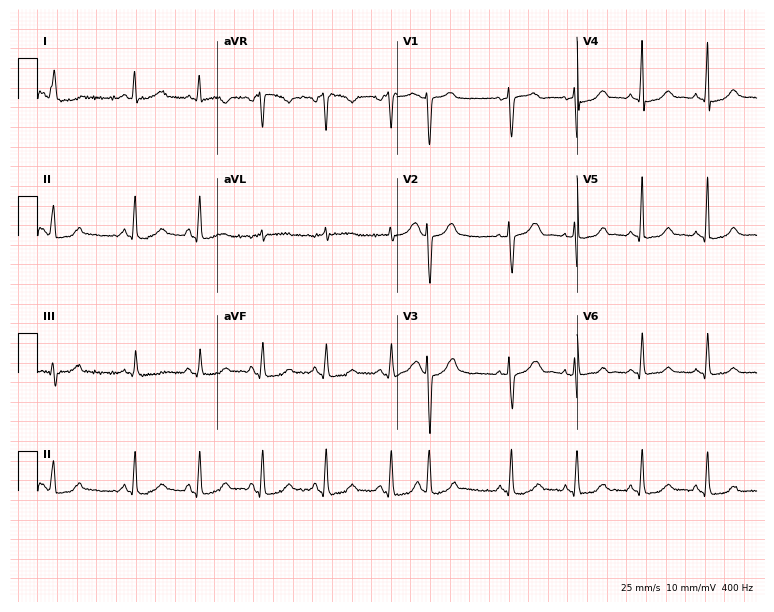
Resting 12-lead electrocardiogram. Patient: a female, 58 years old. None of these six findings is recorded: first-degree AV block, right bundle branch block (RBBB), left bundle branch block (LBBB), sinus bradycardia, atrial fibrillation (AF), sinus tachycardia. Other findings, if any, are not listed.